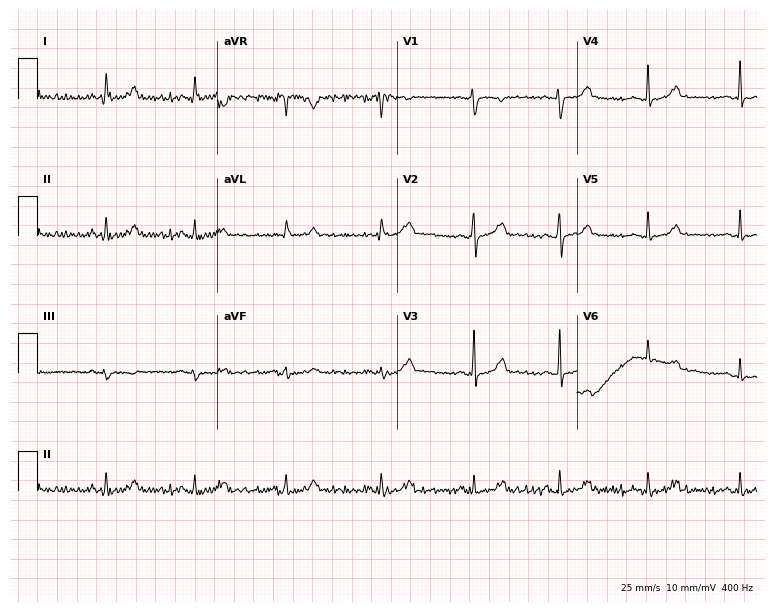
12-lead ECG from a female patient, 26 years old (7.3-second recording at 400 Hz). No first-degree AV block, right bundle branch block, left bundle branch block, sinus bradycardia, atrial fibrillation or sinus tachycardia recorded for this tracing. Only these six findings were labelled.